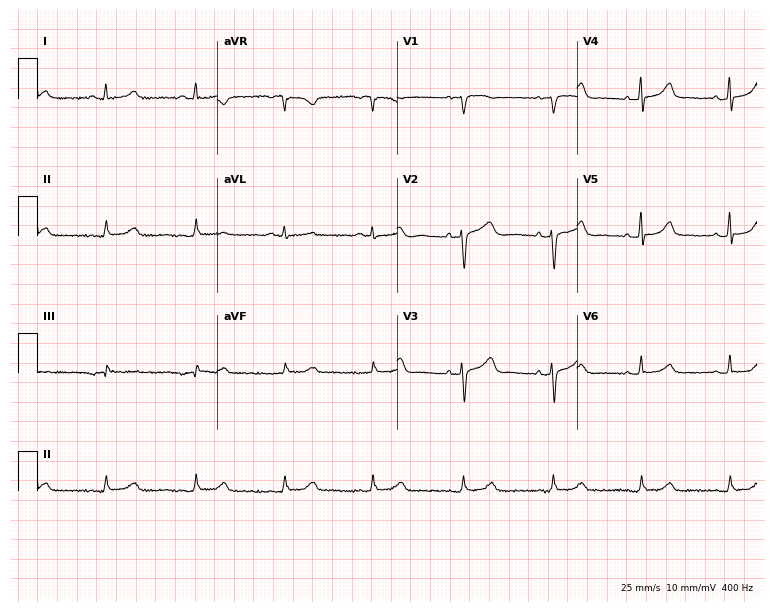
Electrocardiogram, a 42-year-old woman. Overall reading on record: normal ECG.